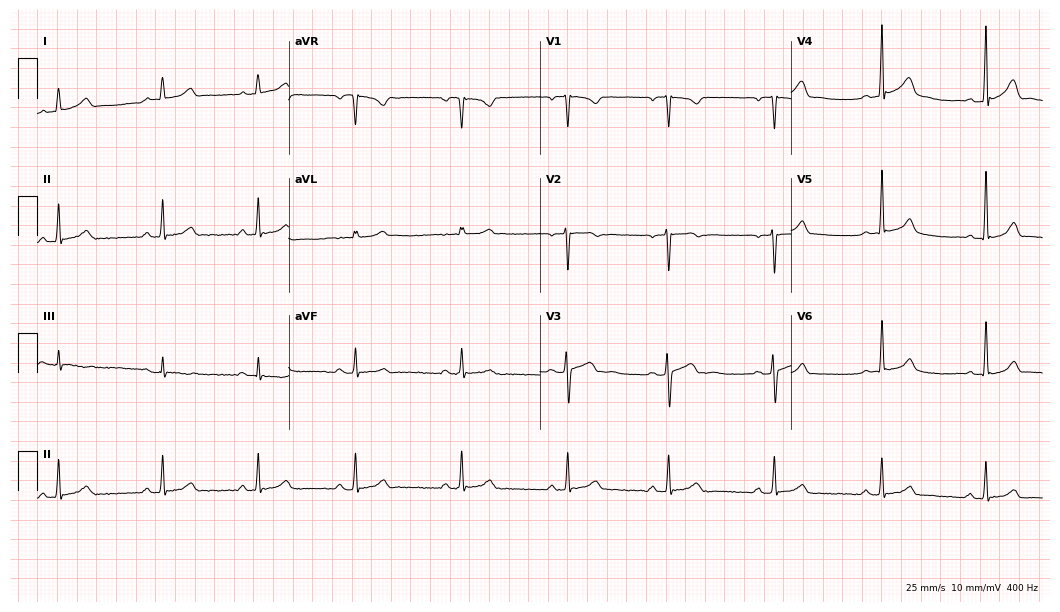
Electrocardiogram (10.2-second recording at 400 Hz), a 40-year-old woman. Overall reading on record: normal ECG.